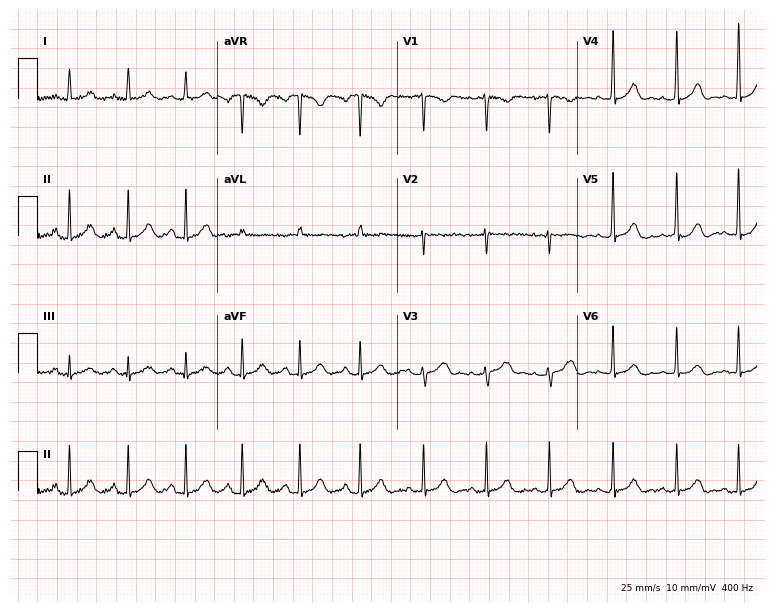
12-lead ECG from a 31-year-old female (7.3-second recording at 400 Hz). No first-degree AV block, right bundle branch block (RBBB), left bundle branch block (LBBB), sinus bradycardia, atrial fibrillation (AF) or sinus tachycardia recorded for this tracing.